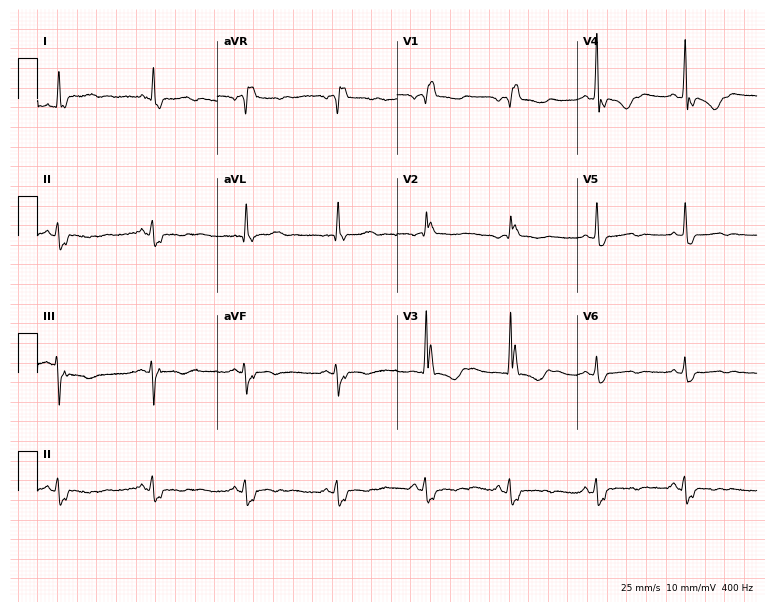
12-lead ECG (7.3-second recording at 400 Hz) from a 68-year-old female patient. Findings include right bundle branch block (RBBB).